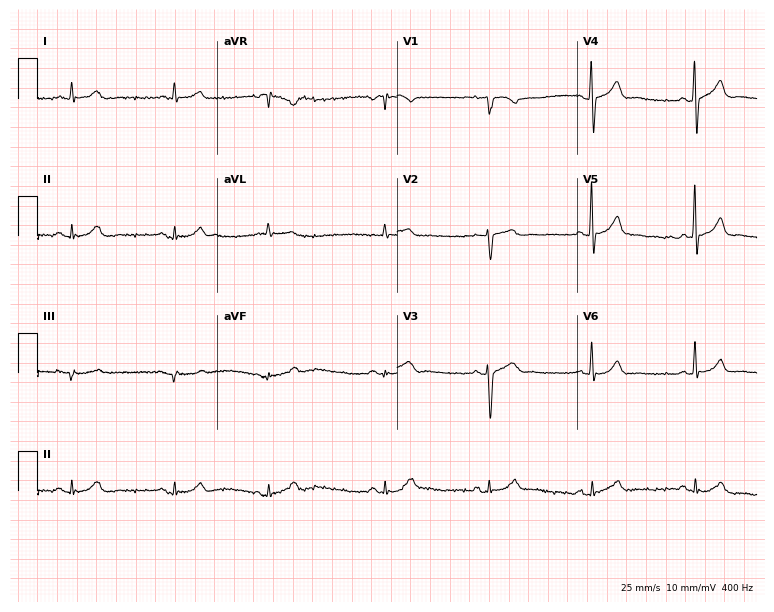
Standard 12-lead ECG recorded from a man, 73 years old (7.3-second recording at 400 Hz). Read as a normal ECG.